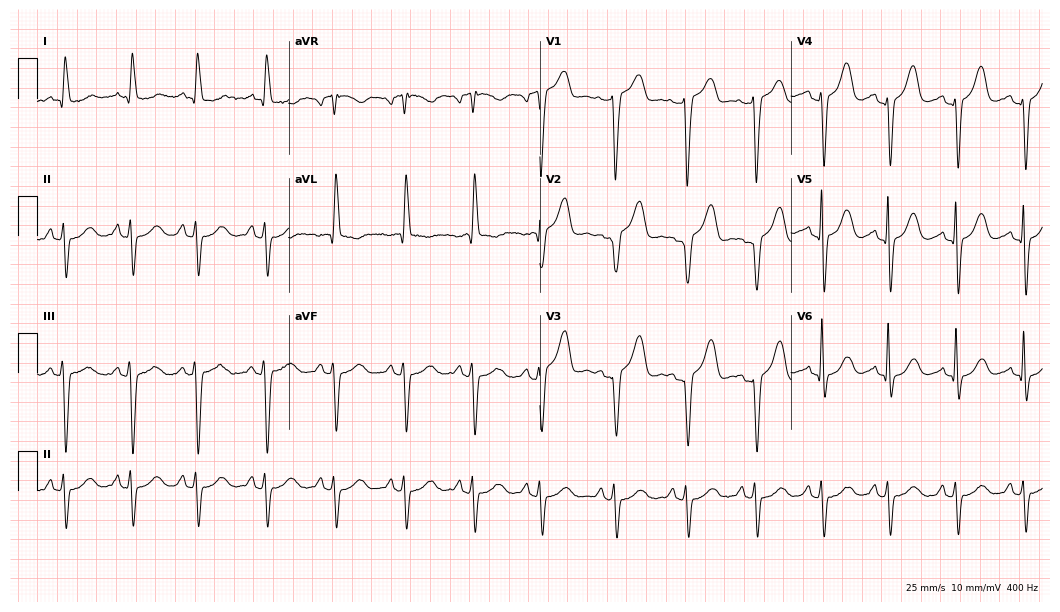
Electrocardiogram (10.2-second recording at 400 Hz), an 80-year-old female. Of the six screened findings (first-degree AV block, right bundle branch block, left bundle branch block, sinus bradycardia, atrial fibrillation, sinus tachycardia), none is recorded.